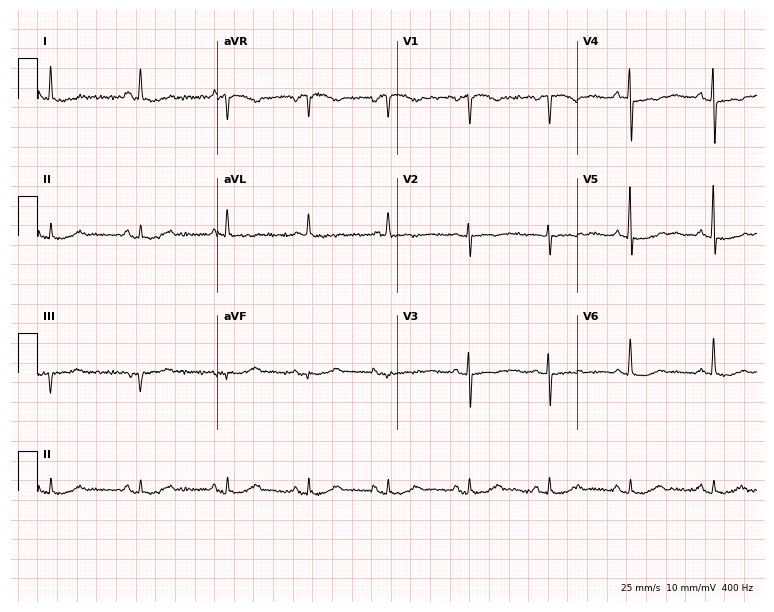
12-lead ECG (7.3-second recording at 400 Hz) from a 44-year-old woman. Labelled as a normal ECG.